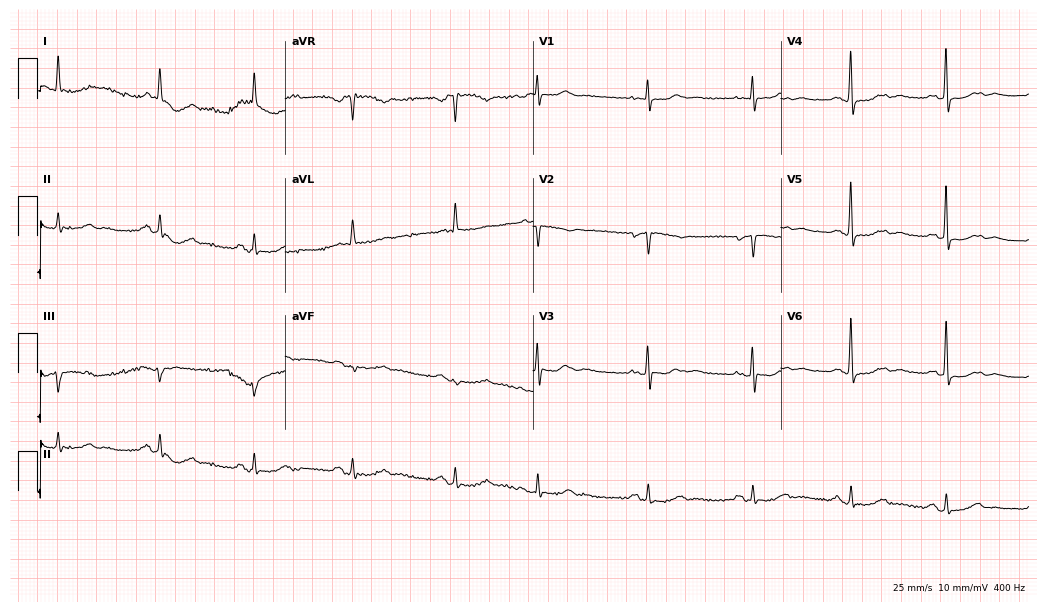
Resting 12-lead electrocardiogram (10.1-second recording at 400 Hz). Patient: an 82-year-old female. None of these six findings is recorded: first-degree AV block, right bundle branch block, left bundle branch block, sinus bradycardia, atrial fibrillation, sinus tachycardia.